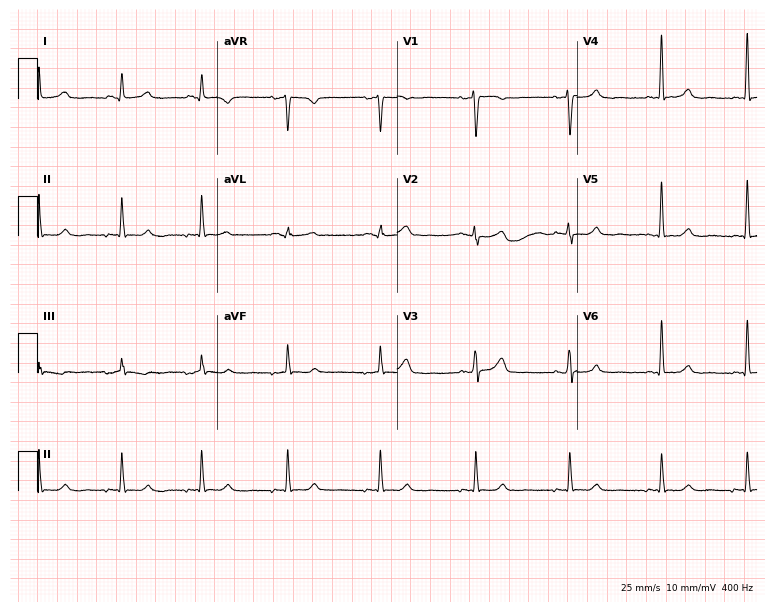
Electrocardiogram, a female patient, 43 years old. Overall reading on record: normal ECG.